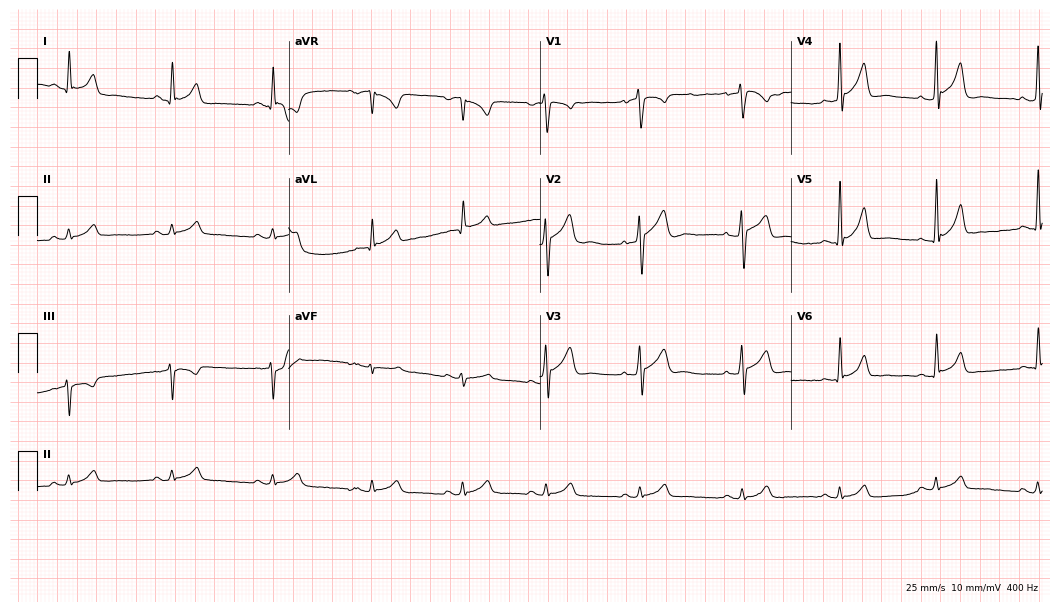
Resting 12-lead electrocardiogram. Patient: a 39-year-old male. Read as a normal ECG.